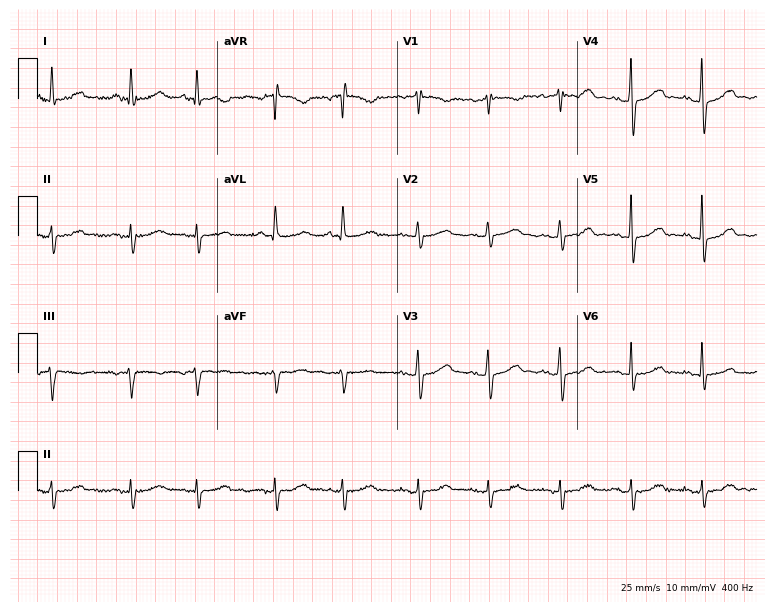
12-lead ECG from an 86-year-old female. No first-degree AV block, right bundle branch block, left bundle branch block, sinus bradycardia, atrial fibrillation or sinus tachycardia recorded for this tracing.